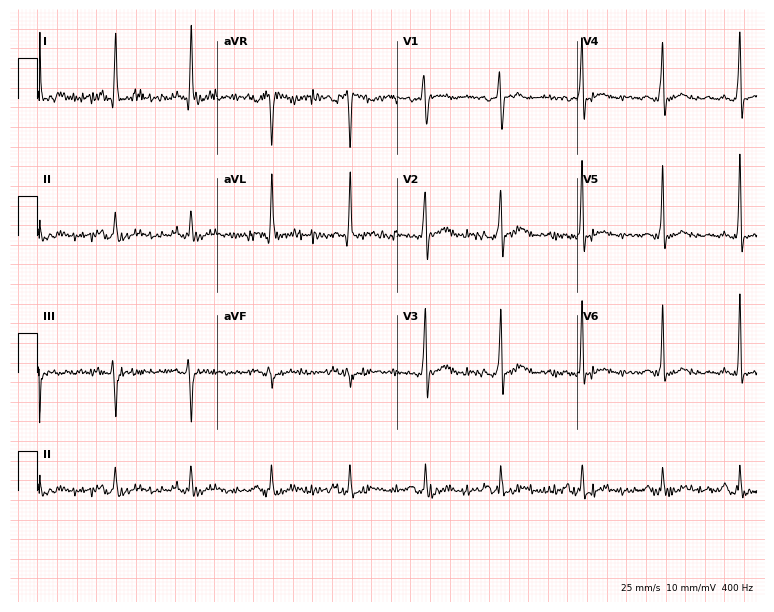
ECG (7.3-second recording at 400 Hz) — a female patient, 50 years old. Screened for six findings — first-degree AV block, right bundle branch block, left bundle branch block, sinus bradycardia, atrial fibrillation, sinus tachycardia — none is recorded. Other findings, if any, are not listed.